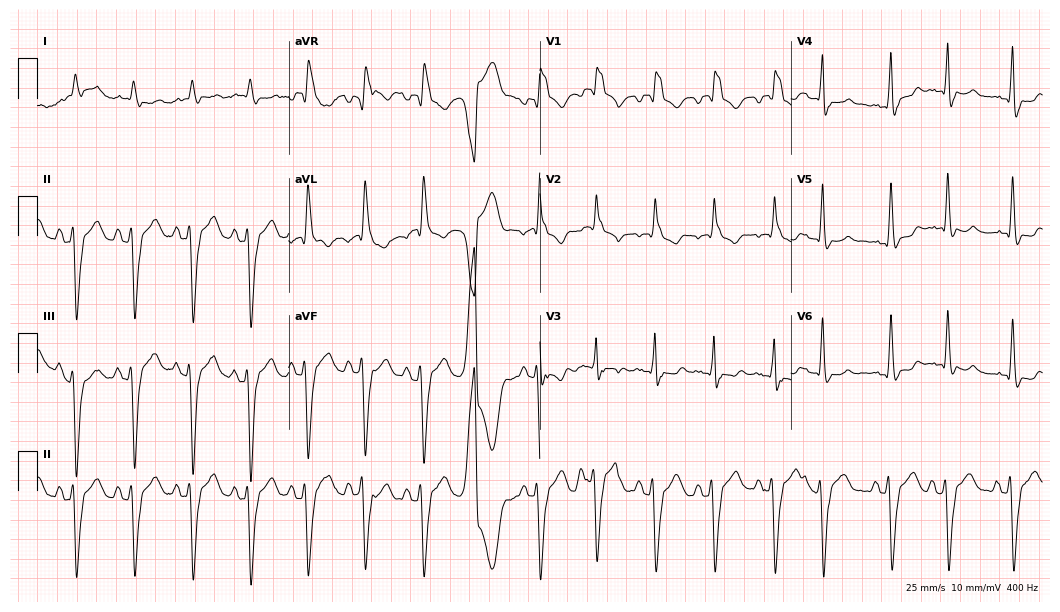
Standard 12-lead ECG recorded from a male, 82 years old (10.2-second recording at 400 Hz). The tracing shows right bundle branch block.